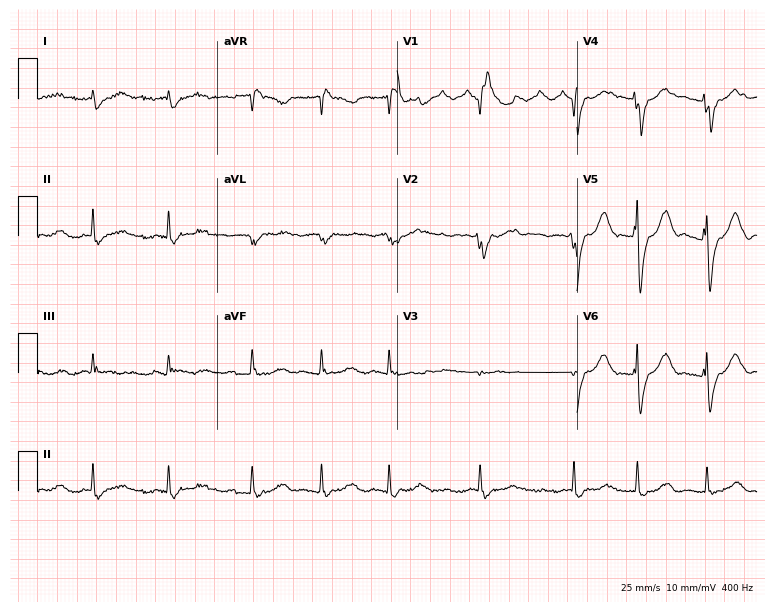
Electrocardiogram (7.3-second recording at 400 Hz), a female, 77 years old. Of the six screened findings (first-degree AV block, right bundle branch block, left bundle branch block, sinus bradycardia, atrial fibrillation, sinus tachycardia), none is recorded. Only these six findings were labelled.